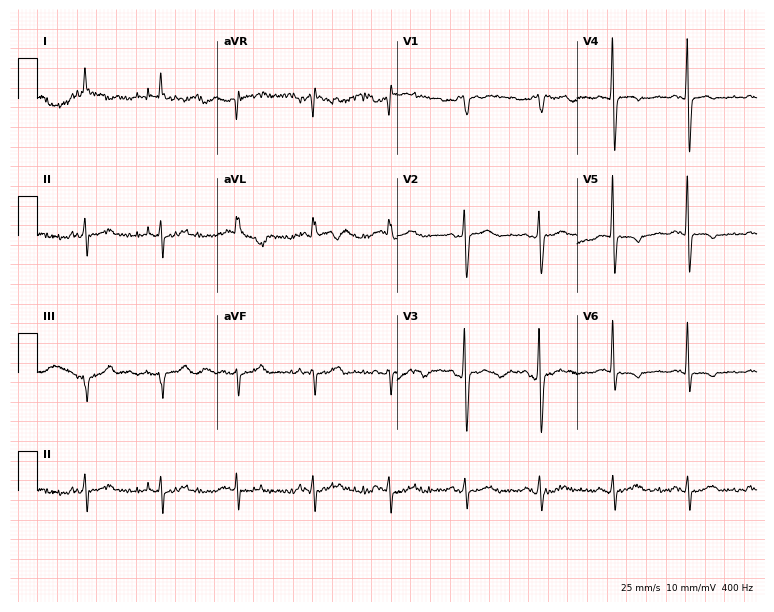
ECG (7.3-second recording at 400 Hz) — a 78-year-old man. Screened for six findings — first-degree AV block, right bundle branch block, left bundle branch block, sinus bradycardia, atrial fibrillation, sinus tachycardia — none is recorded. Only these six findings were labelled.